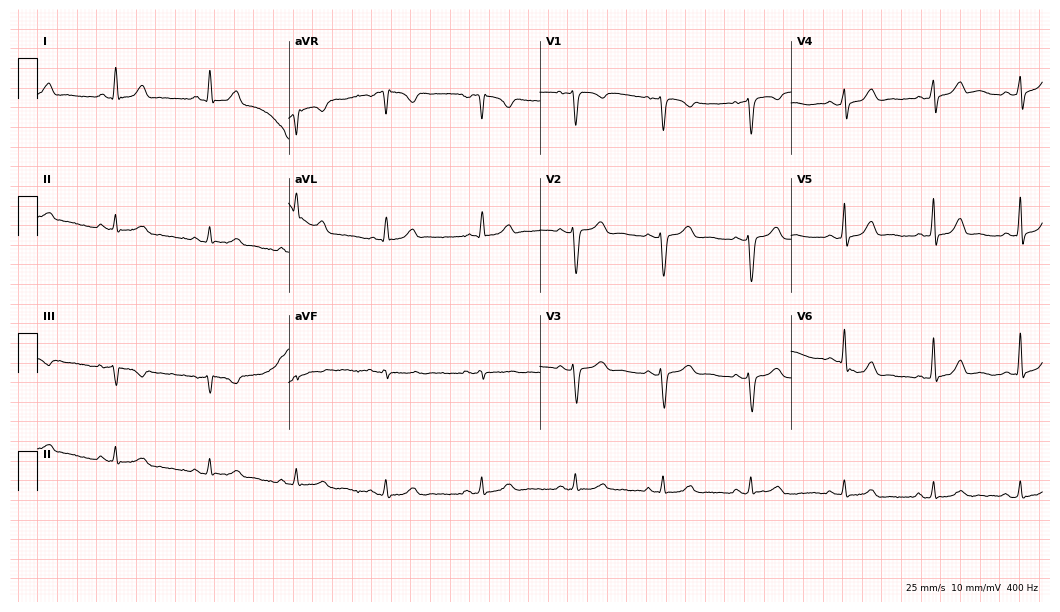
12-lead ECG (10.2-second recording at 400 Hz) from a female, 49 years old. Labelled as a normal ECG.